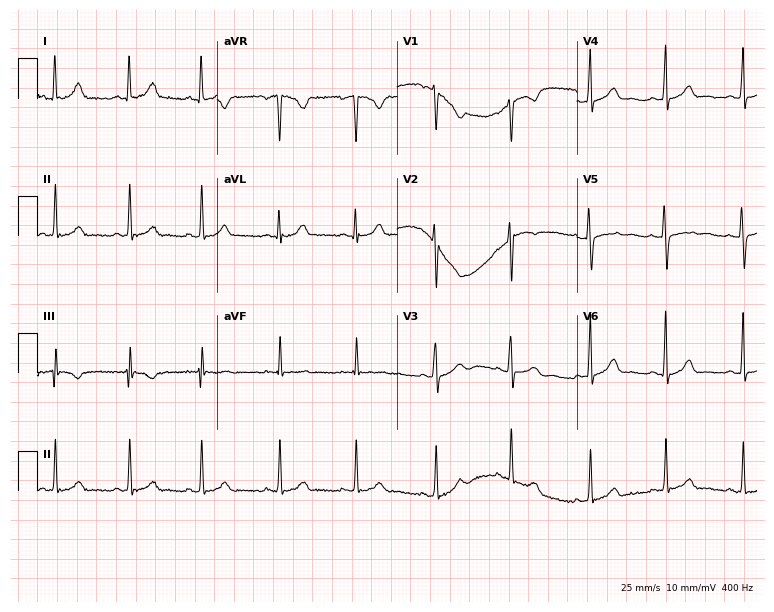
Resting 12-lead electrocardiogram. Patient: a woman, 25 years old. Read as a normal ECG.